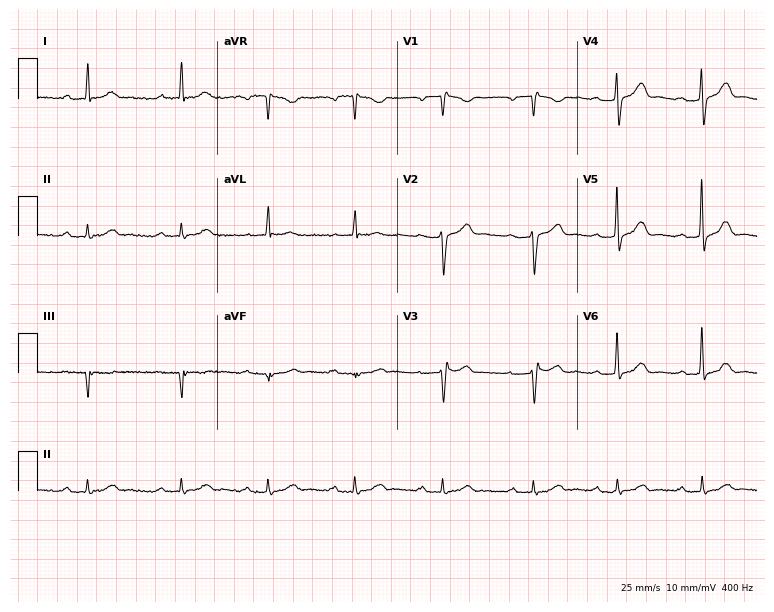
12-lead ECG from a 71-year-old male patient. Labelled as a normal ECG.